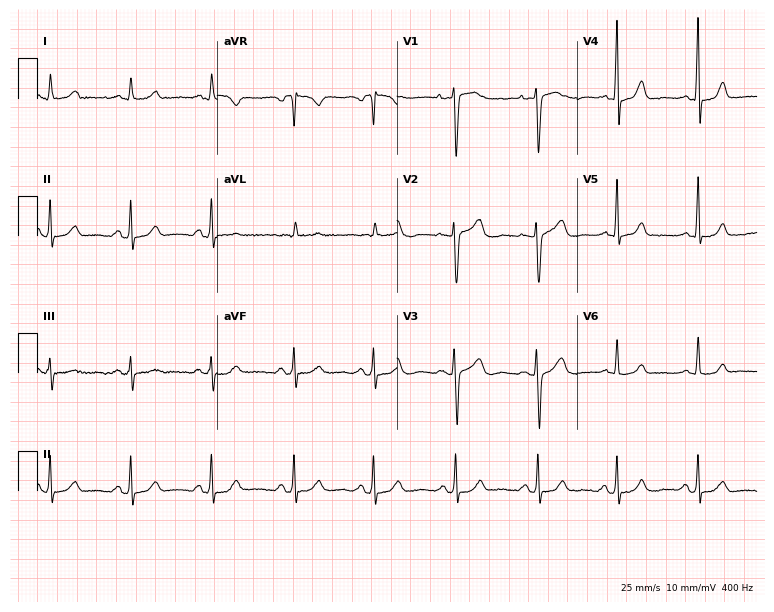
ECG — a woman, 37 years old. Labelled as a normal ECG.